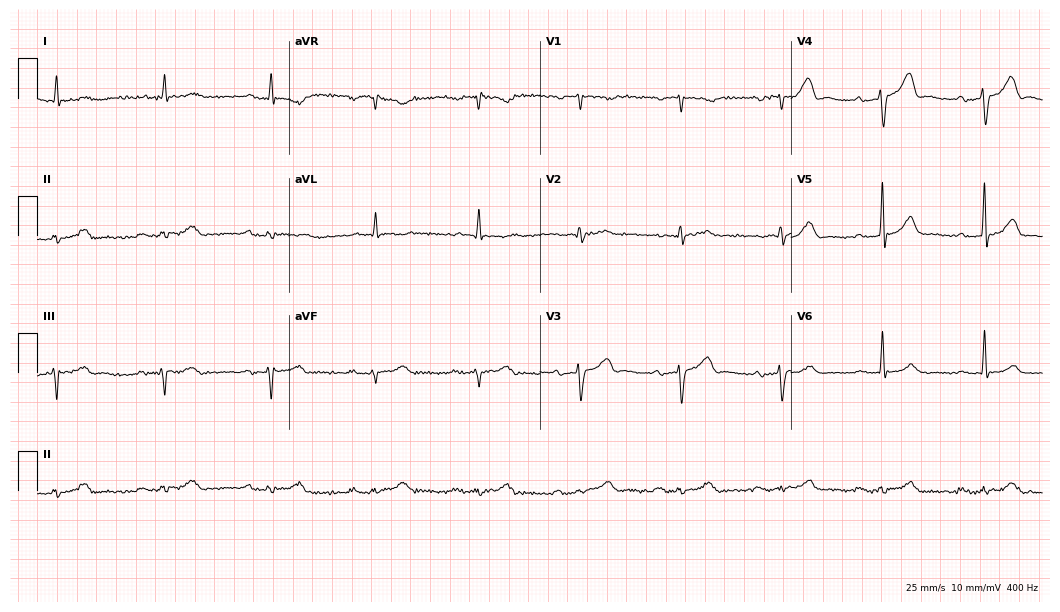
ECG (10.2-second recording at 400 Hz) — a 65-year-old male patient. Labelled as a normal ECG.